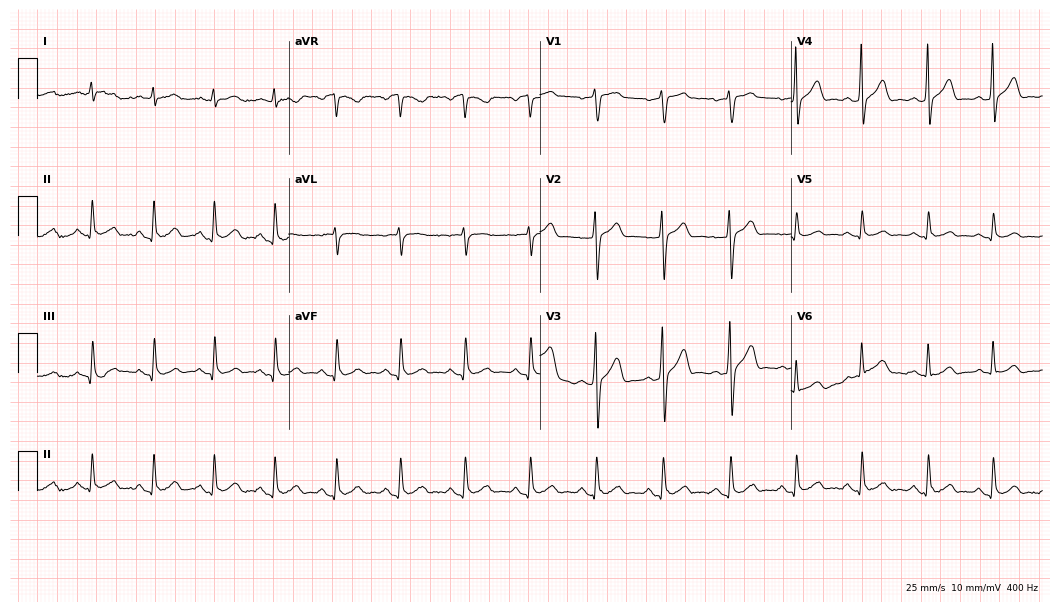
12-lead ECG from a 38-year-old male patient (10.2-second recording at 400 Hz). Recorded interpretation: within normal limits.